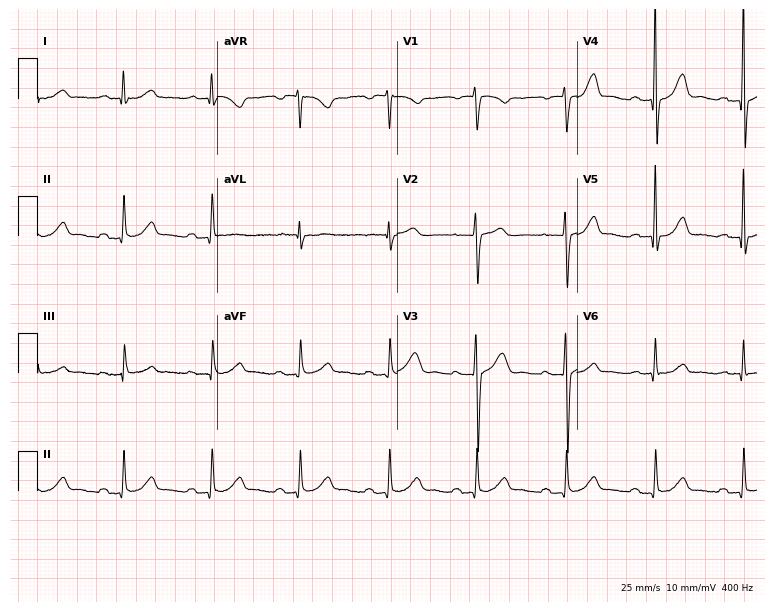
ECG (7.3-second recording at 400 Hz) — a male patient, 63 years old. Labelled as a normal ECG.